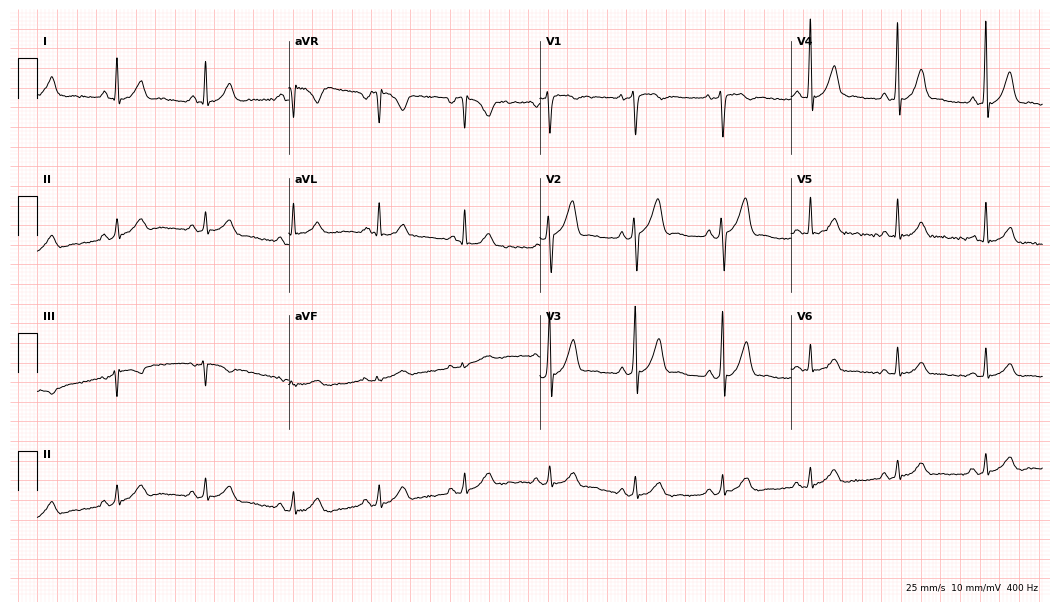
Standard 12-lead ECG recorded from a 52-year-old male. Read as a normal ECG.